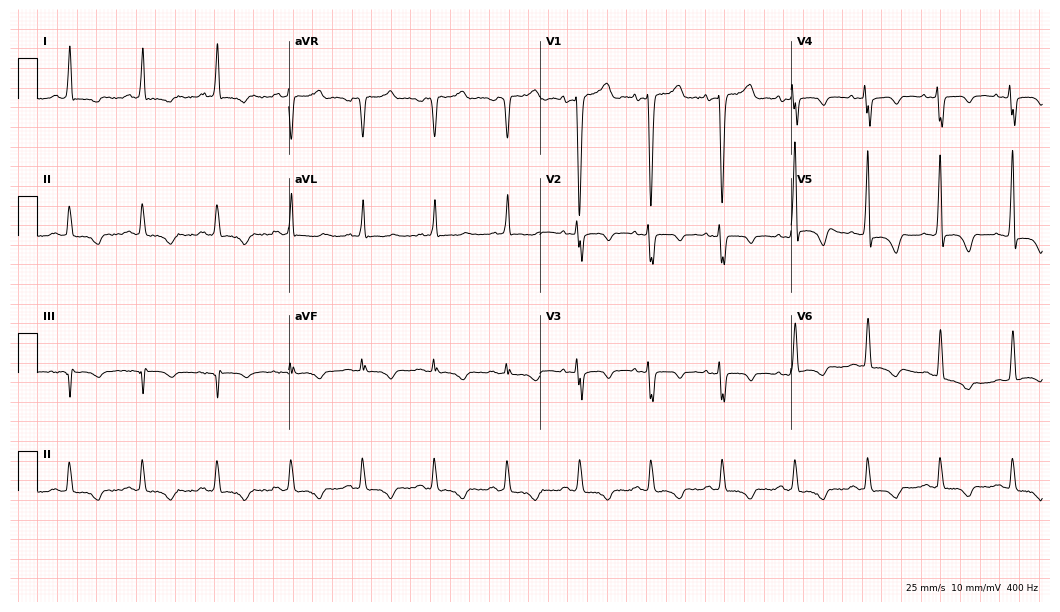
12-lead ECG from a 53-year-old male patient. No first-degree AV block, right bundle branch block (RBBB), left bundle branch block (LBBB), sinus bradycardia, atrial fibrillation (AF) or sinus tachycardia recorded for this tracing. Other findings, if any, are not listed.